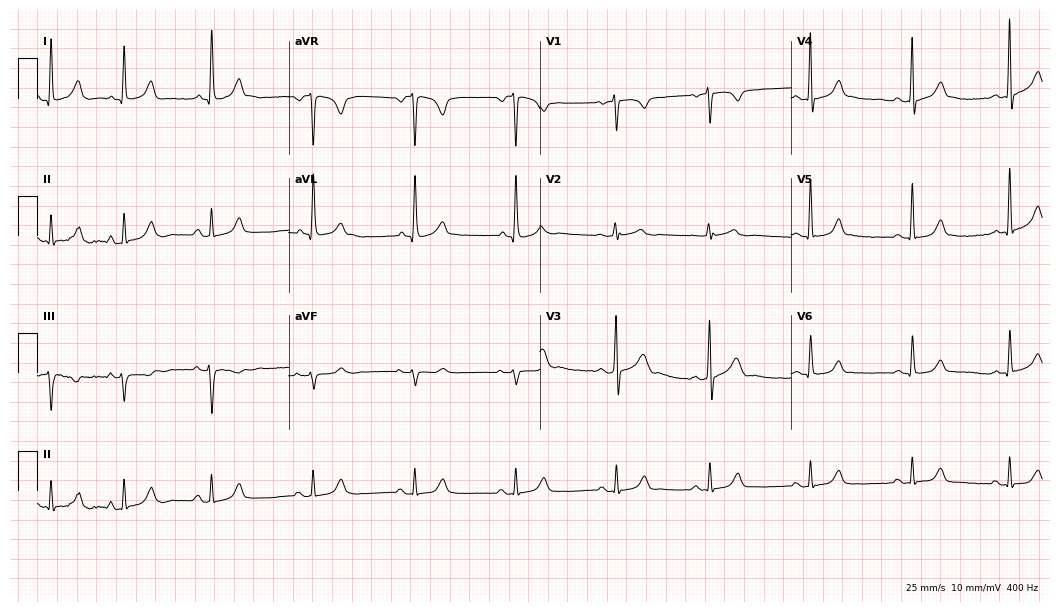
Standard 12-lead ECG recorded from a 34-year-old woman (10.2-second recording at 400 Hz). Read as a normal ECG.